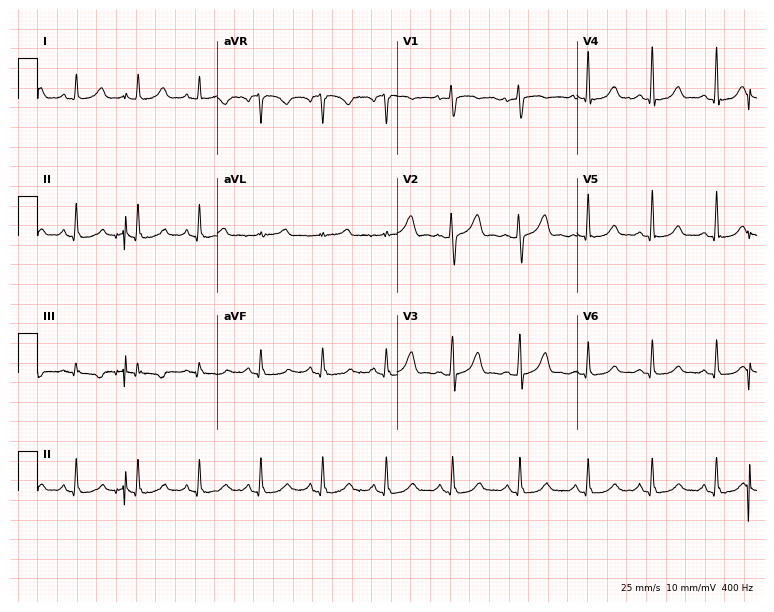
12-lead ECG from a woman, 42 years old. No first-degree AV block, right bundle branch block (RBBB), left bundle branch block (LBBB), sinus bradycardia, atrial fibrillation (AF) or sinus tachycardia recorded for this tracing.